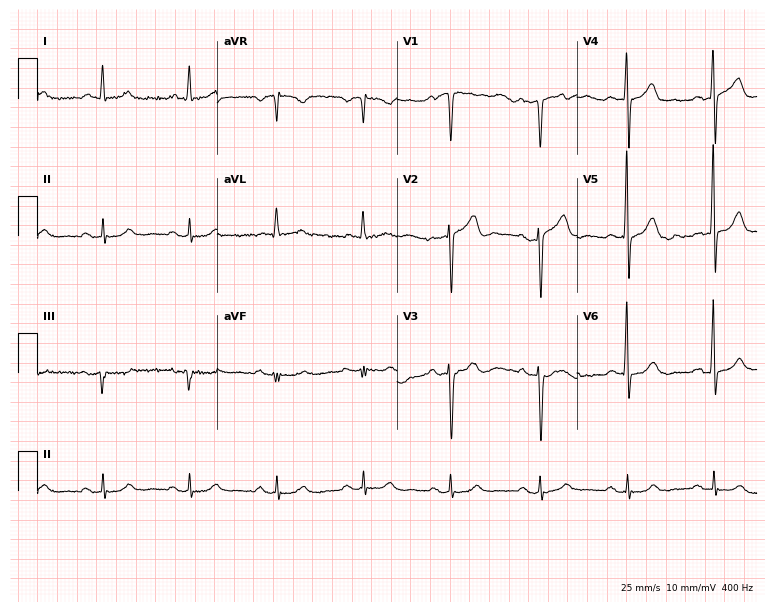
12-lead ECG (7.3-second recording at 400 Hz) from an 81-year-old man. Labelled as a normal ECG.